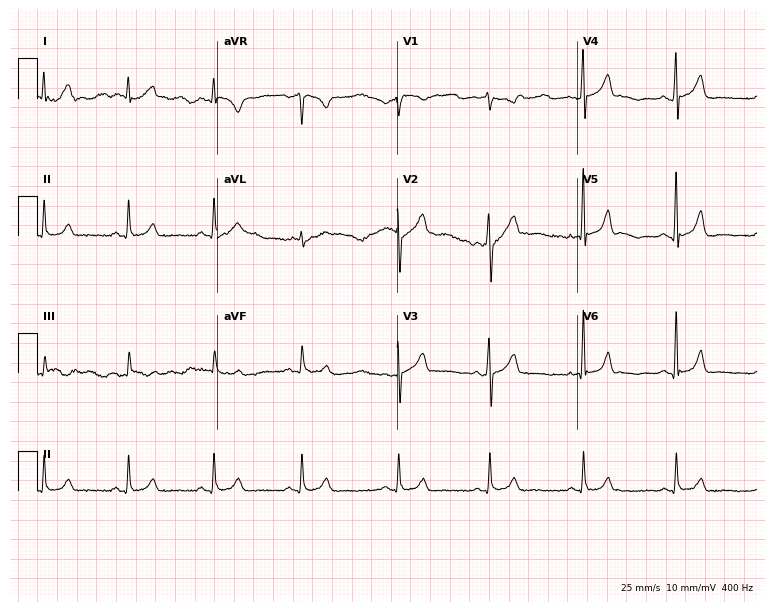
Standard 12-lead ECG recorded from a male patient, 52 years old (7.3-second recording at 400 Hz). Read as a normal ECG.